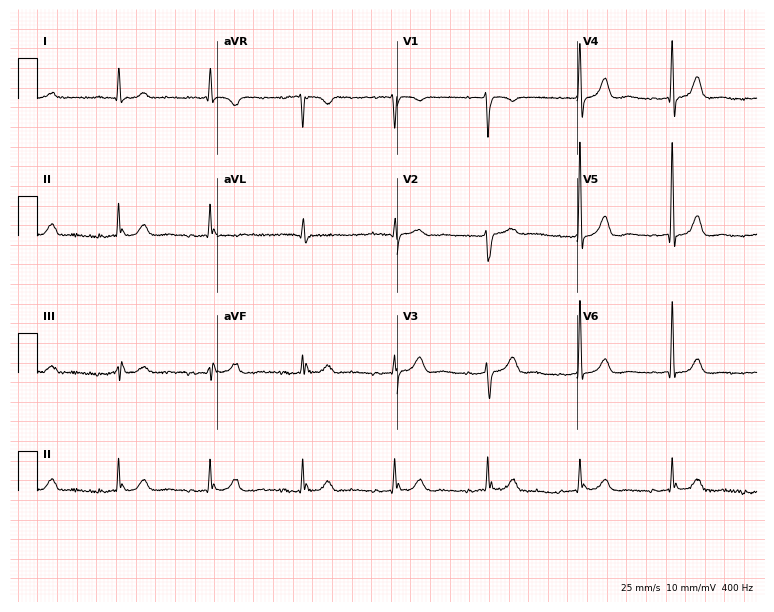
Electrocardiogram (7.3-second recording at 400 Hz), a female patient, 80 years old. Of the six screened findings (first-degree AV block, right bundle branch block (RBBB), left bundle branch block (LBBB), sinus bradycardia, atrial fibrillation (AF), sinus tachycardia), none is recorded.